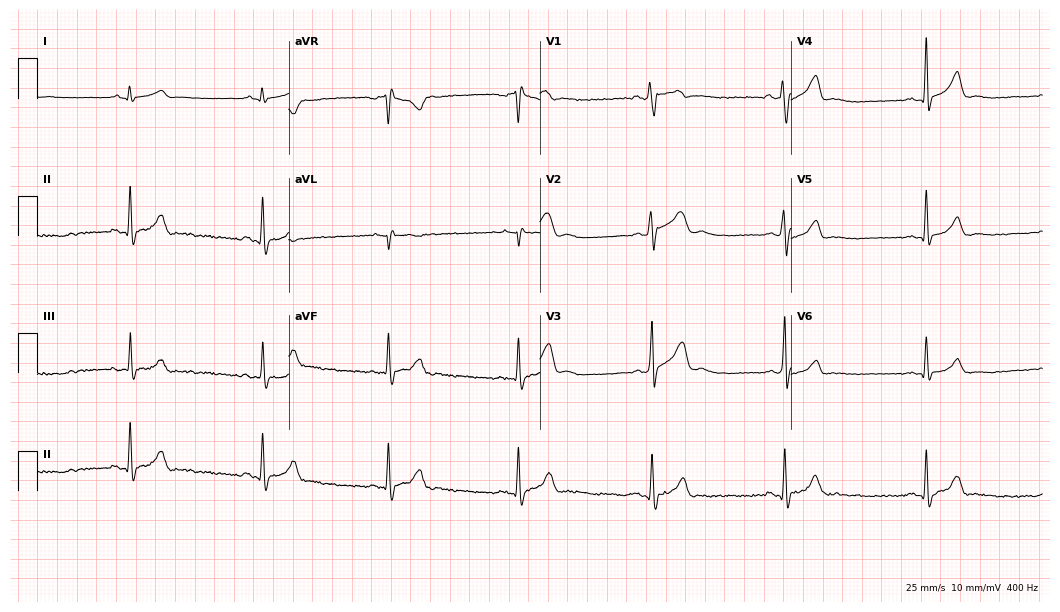
Electrocardiogram (10.2-second recording at 400 Hz), a man, 22 years old. Of the six screened findings (first-degree AV block, right bundle branch block (RBBB), left bundle branch block (LBBB), sinus bradycardia, atrial fibrillation (AF), sinus tachycardia), none is recorded. Only these six findings were labelled.